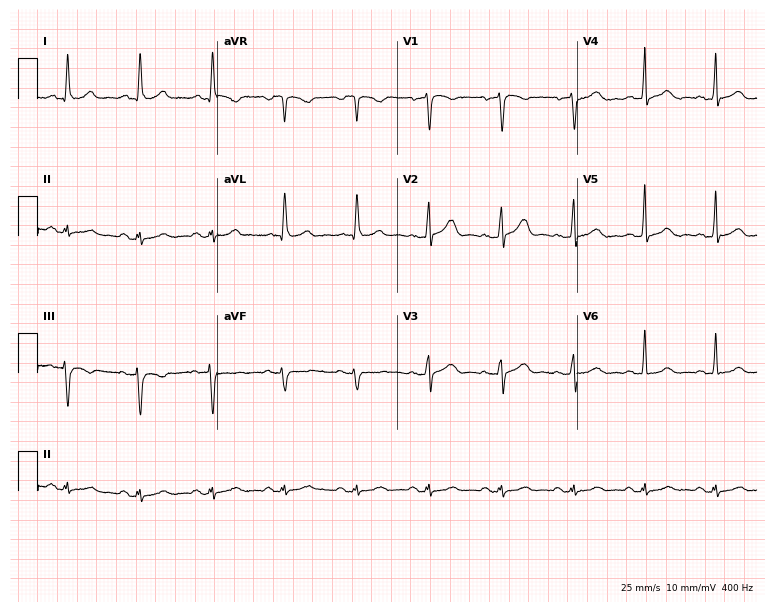
12-lead ECG from a 60-year-old man (7.3-second recording at 400 Hz). Recorded interpretation: within normal limits.